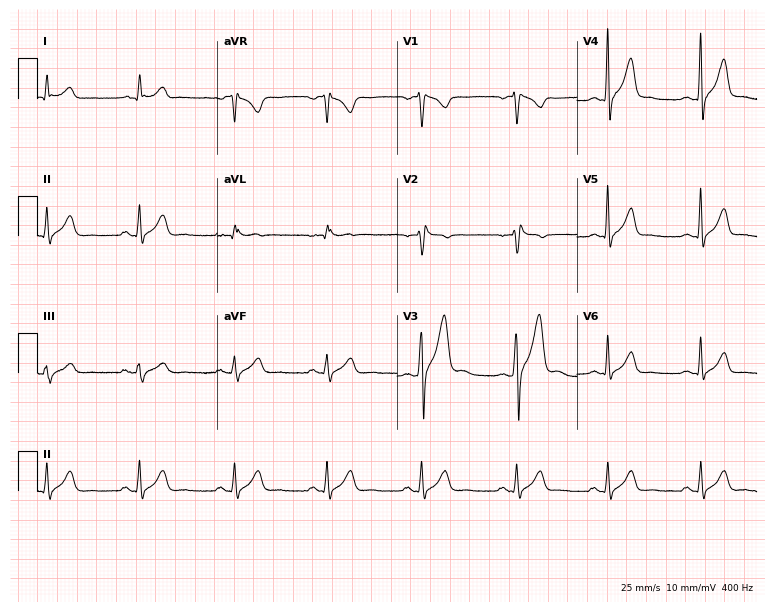
Resting 12-lead electrocardiogram. Patient: a 38-year-old male. None of these six findings is recorded: first-degree AV block, right bundle branch block, left bundle branch block, sinus bradycardia, atrial fibrillation, sinus tachycardia. Only these six findings were labelled.